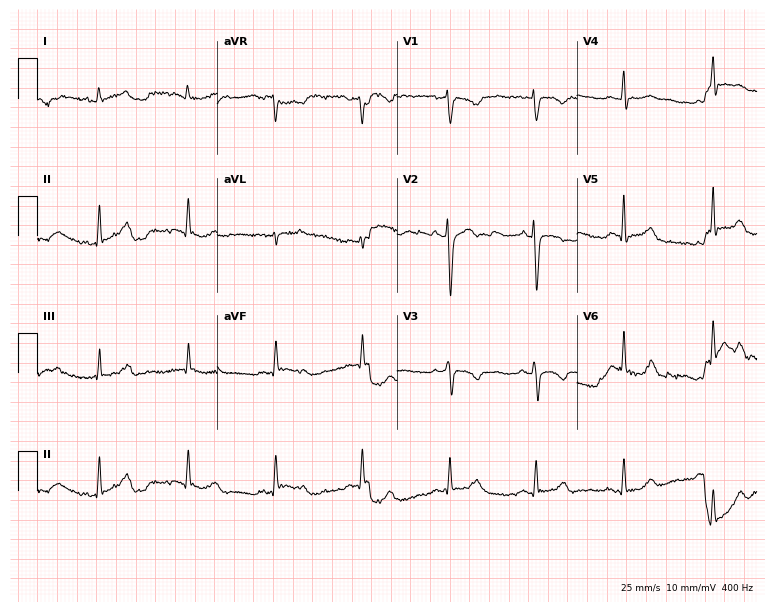
Standard 12-lead ECG recorded from a female, 54 years old (7.3-second recording at 400 Hz). None of these six findings is recorded: first-degree AV block, right bundle branch block, left bundle branch block, sinus bradycardia, atrial fibrillation, sinus tachycardia. Findings outside these six are not listed.